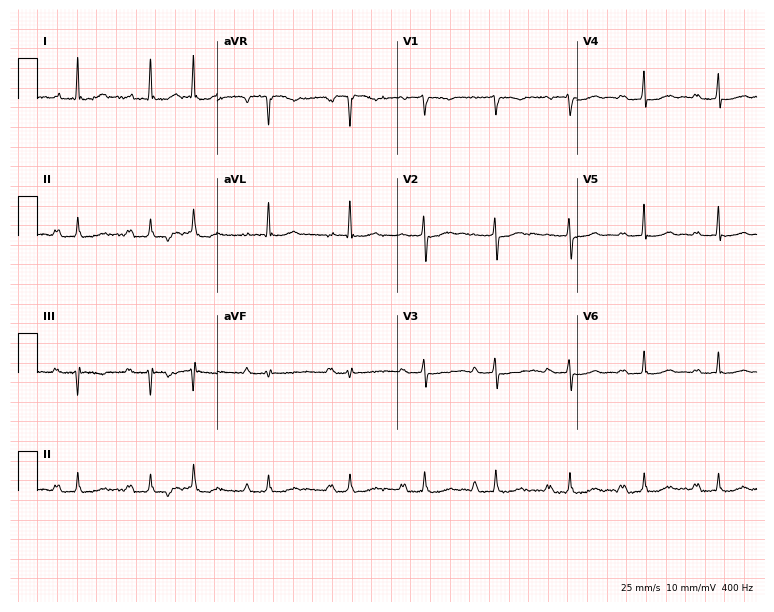
Standard 12-lead ECG recorded from a female patient, 79 years old. The tracing shows first-degree AV block.